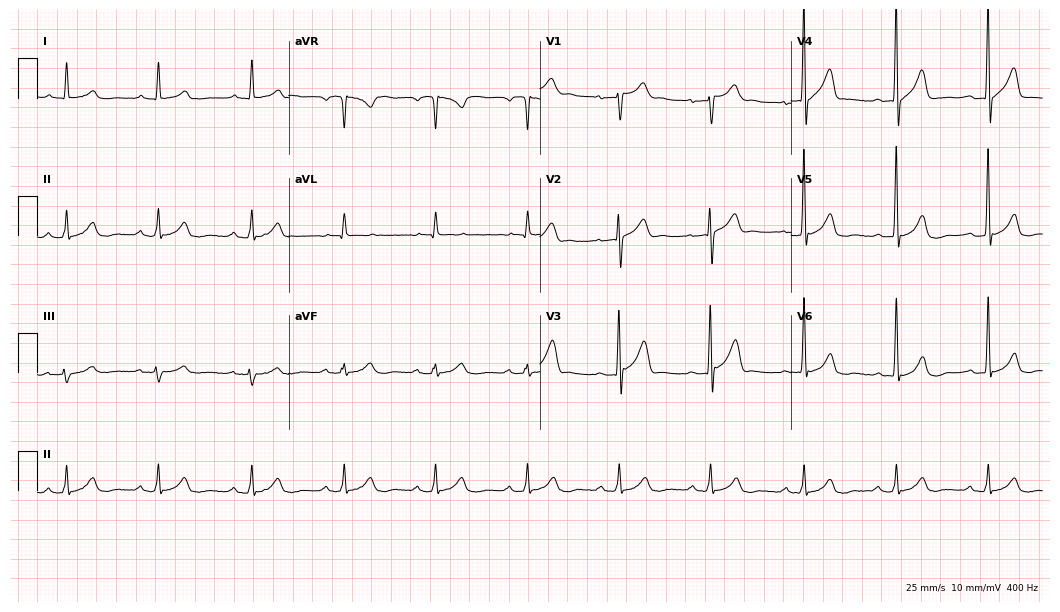
Standard 12-lead ECG recorded from a male, 65 years old. Read as a normal ECG.